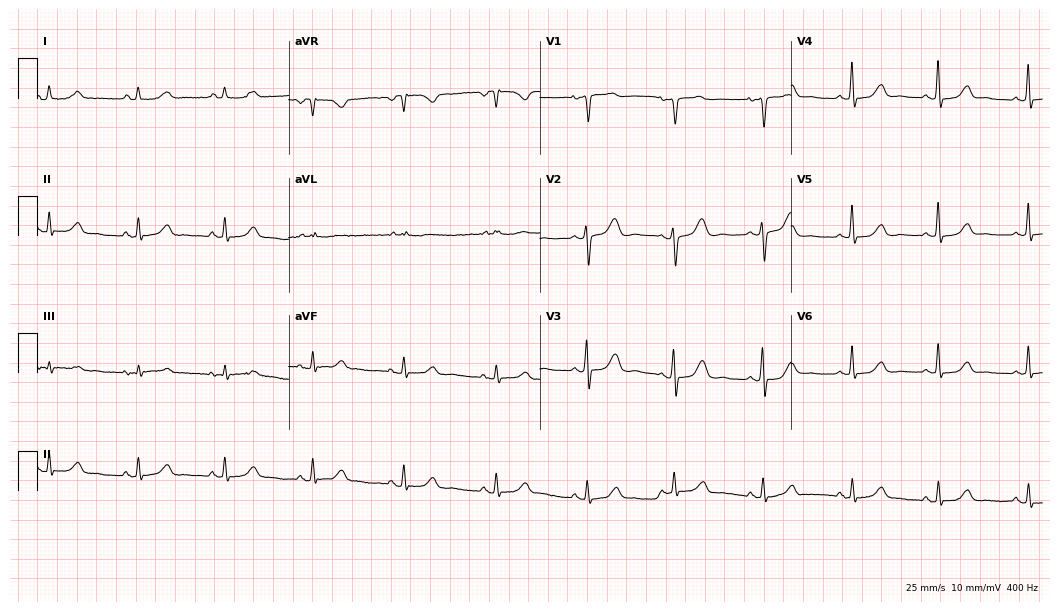
Electrocardiogram (10.2-second recording at 400 Hz), a female patient, 41 years old. Of the six screened findings (first-degree AV block, right bundle branch block (RBBB), left bundle branch block (LBBB), sinus bradycardia, atrial fibrillation (AF), sinus tachycardia), none is recorded.